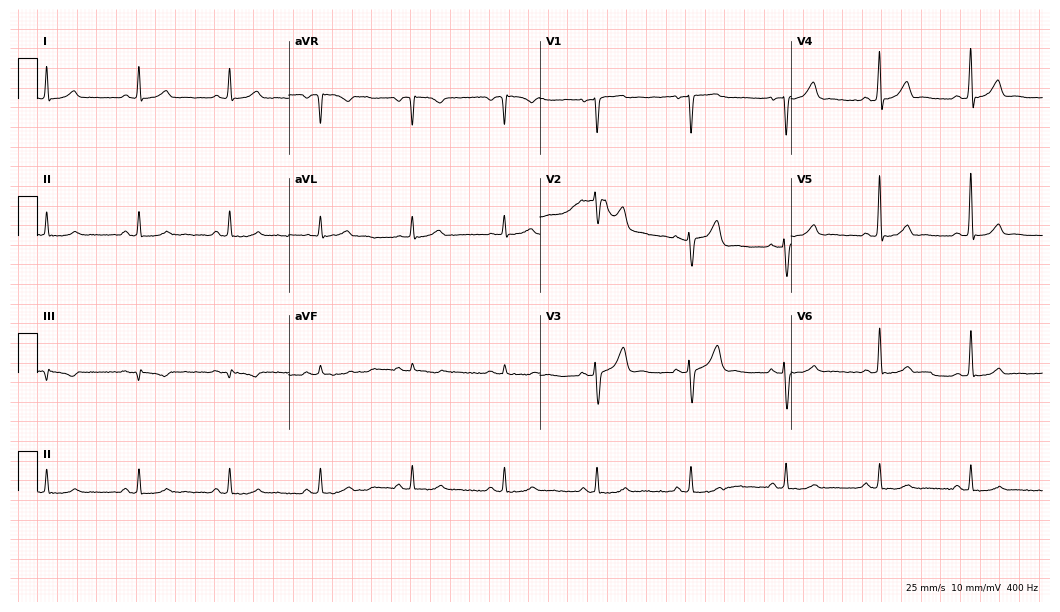
Resting 12-lead electrocardiogram. Patient: a male, 46 years old. Read as a normal ECG.